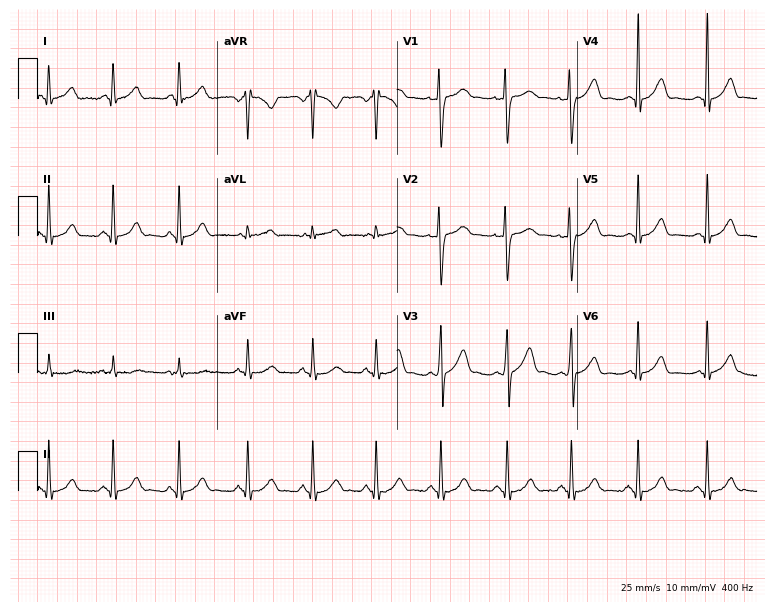
Standard 12-lead ECG recorded from a woman, 22 years old (7.3-second recording at 400 Hz). None of these six findings is recorded: first-degree AV block, right bundle branch block (RBBB), left bundle branch block (LBBB), sinus bradycardia, atrial fibrillation (AF), sinus tachycardia. Only these six findings were labelled.